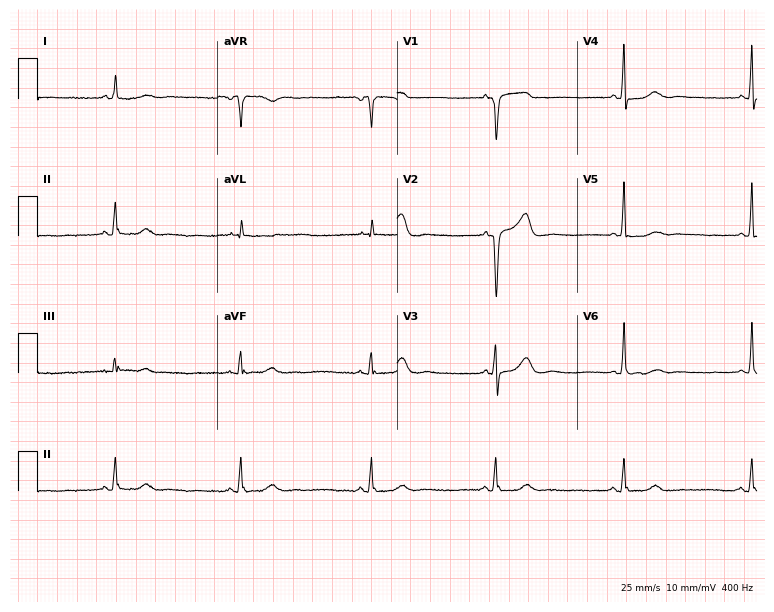
Standard 12-lead ECG recorded from a 74-year-old woman (7.3-second recording at 400 Hz). The tracing shows sinus bradycardia (a sinus rate of 50 beats per minute or less).